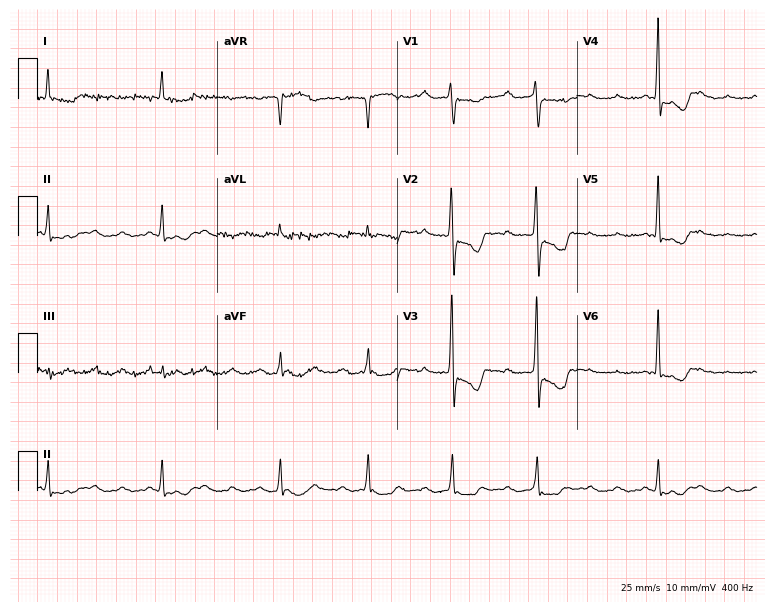
Resting 12-lead electrocardiogram. Patient: a woman, 39 years old. The tracing shows first-degree AV block.